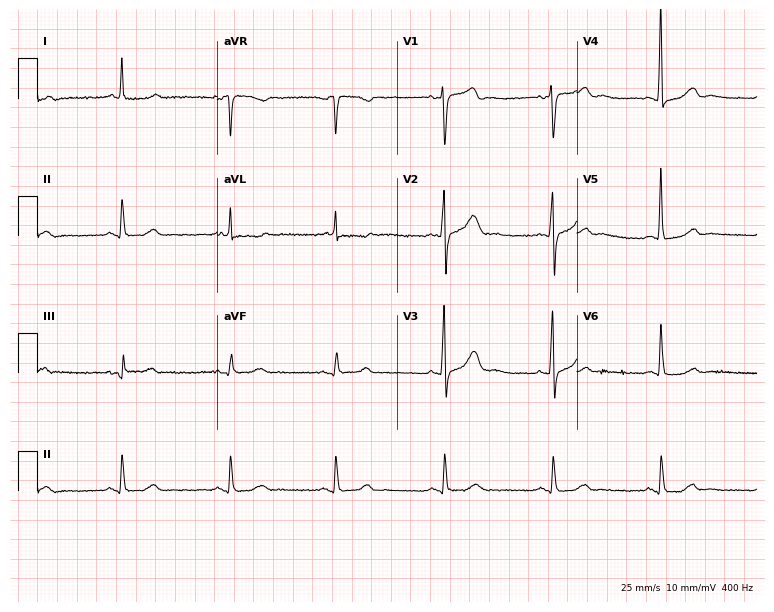
Electrocardiogram, a 68-year-old male. Of the six screened findings (first-degree AV block, right bundle branch block (RBBB), left bundle branch block (LBBB), sinus bradycardia, atrial fibrillation (AF), sinus tachycardia), none is recorded. Findings outside these six are not listed.